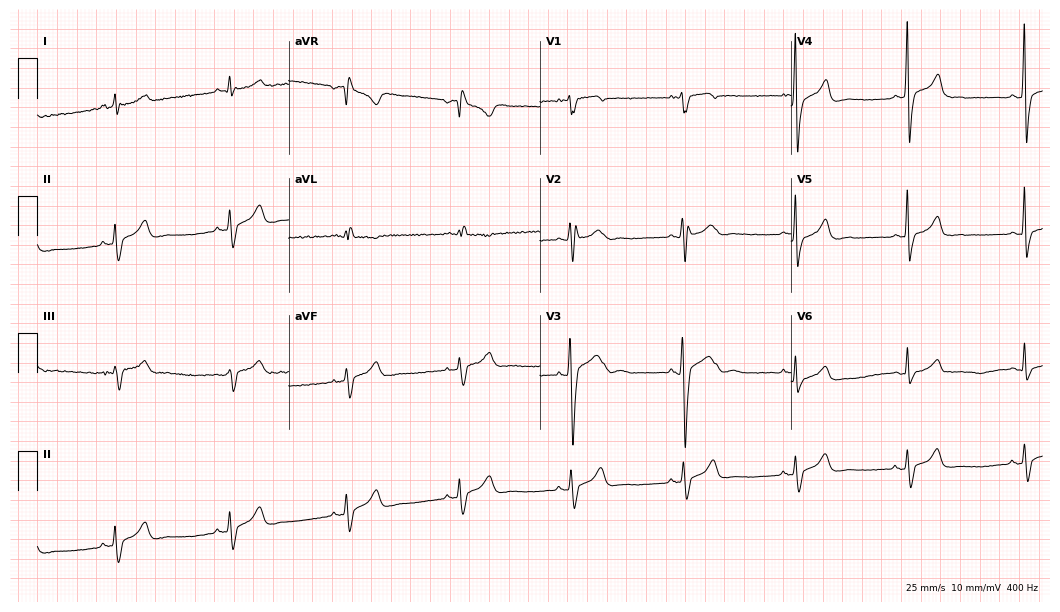
Standard 12-lead ECG recorded from a male patient, 34 years old (10.2-second recording at 400 Hz). None of these six findings is recorded: first-degree AV block, right bundle branch block, left bundle branch block, sinus bradycardia, atrial fibrillation, sinus tachycardia.